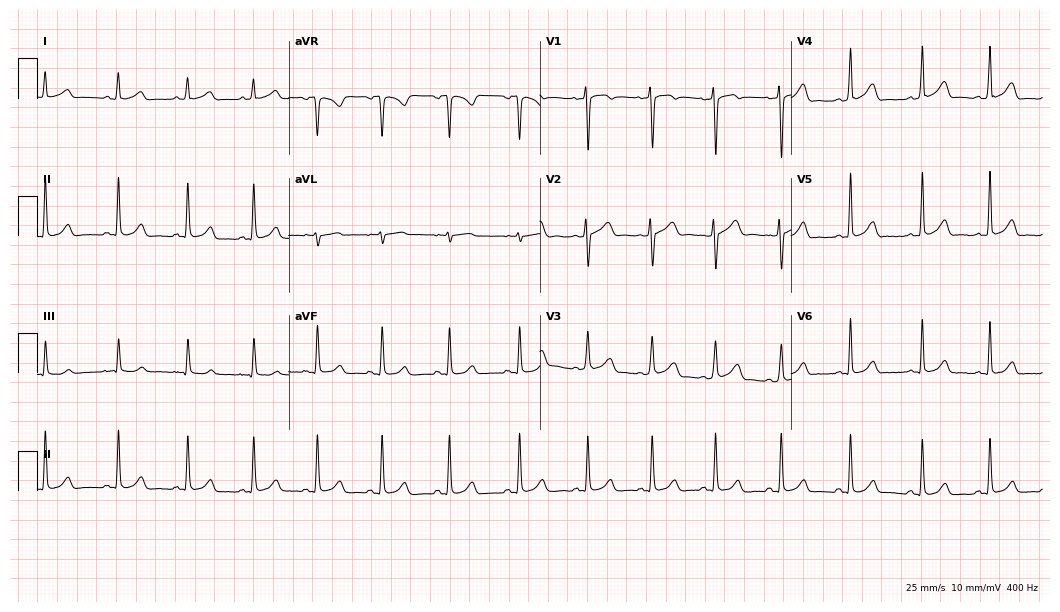
12-lead ECG (10.2-second recording at 400 Hz) from a 26-year-old female. Labelled as a normal ECG.